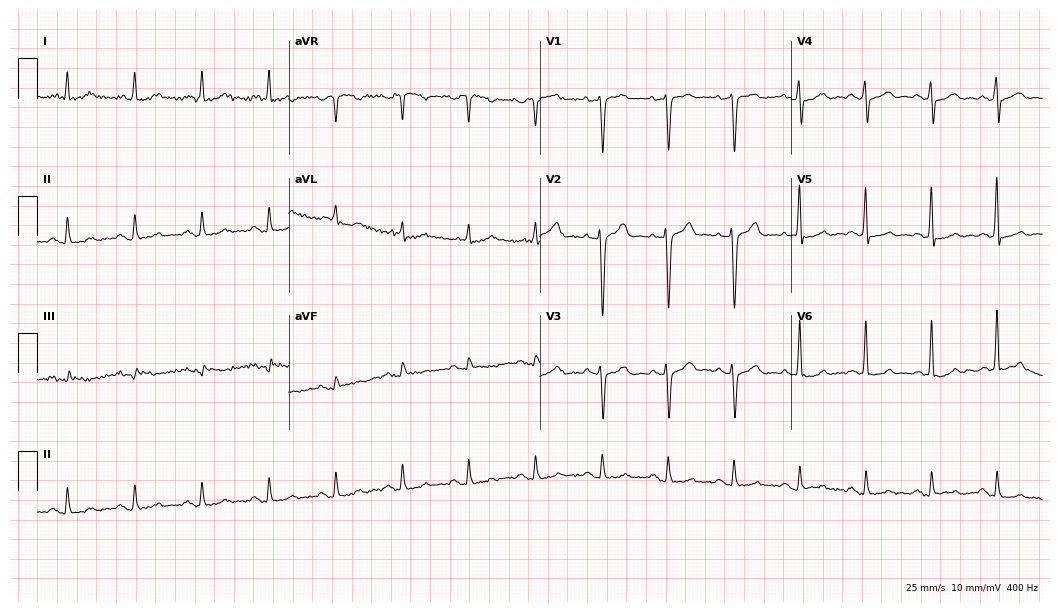
ECG (10.2-second recording at 400 Hz) — a 70-year-old male. Screened for six findings — first-degree AV block, right bundle branch block, left bundle branch block, sinus bradycardia, atrial fibrillation, sinus tachycardia — none is recorded. Findings outside these six are not listed.